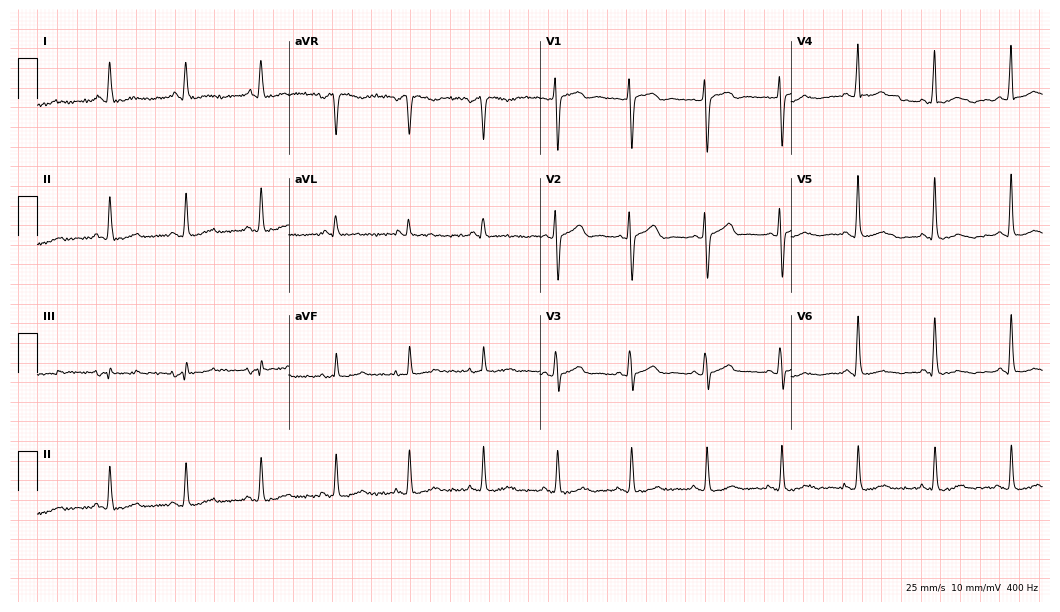
ECG — a 52-year-old male patient. Screened for six findings — first-degree AV block, right bundle branch block, left bundle branch block, sinus bradycardia, atrial fibrillation, sinus tachycardia — none is recorded.